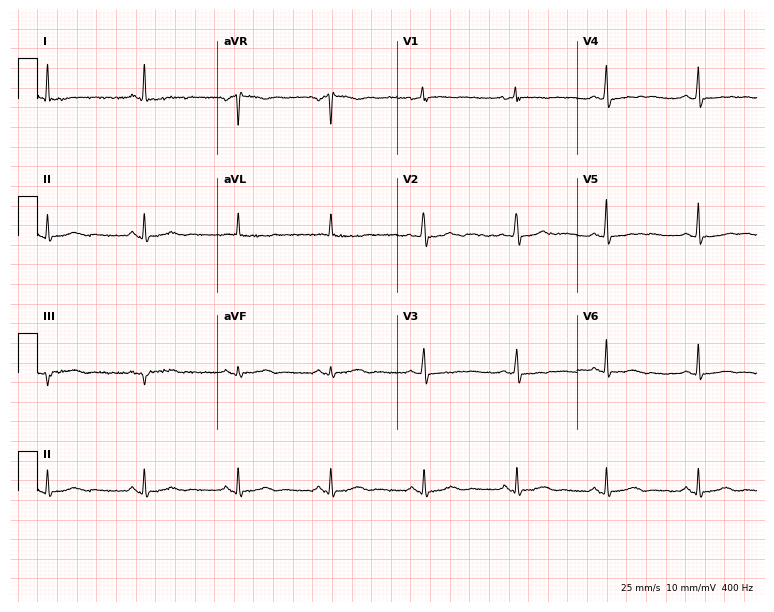
ECG — a woman, 56 years old. Screened for six findings — first-degree AV block, right bundle branch block, left bundle branch block, sinus bradycardia, atrial fibrillation, sinus tachycardia — none is recorded.